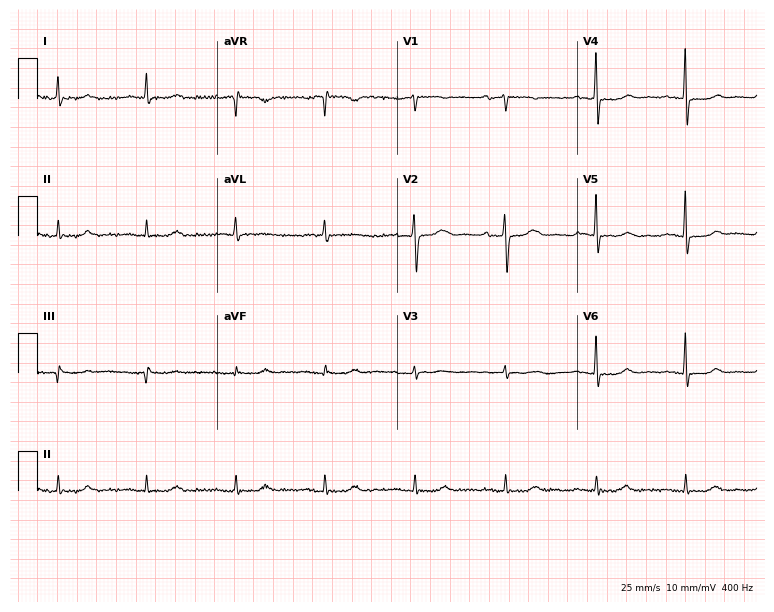
Standard 12-lead ECG recorded from a female, 76 years old (7.3-second recording at 400 Hz). Read as a normal ECG.